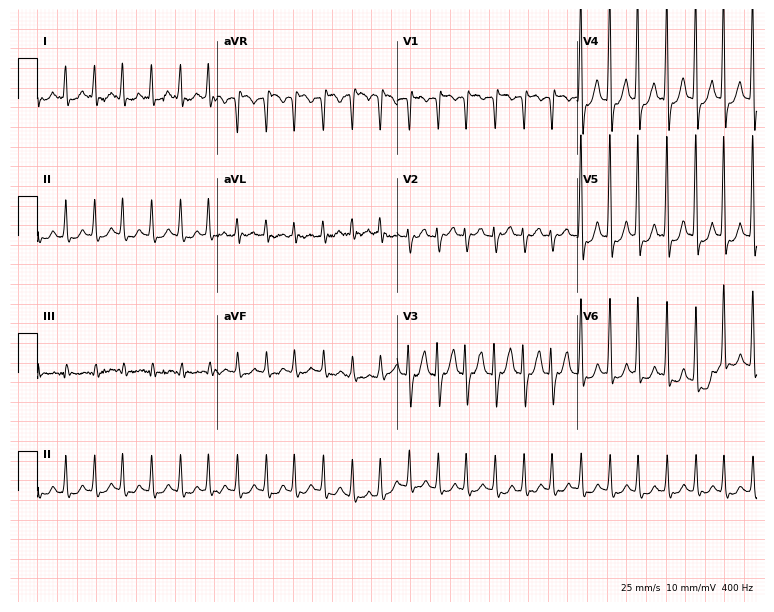
Standard 12-lead ECG recorded from a male patient, 69 years old. The tracing shows sinus tachycardia (a sinus rate of 100 beats per minute or more).